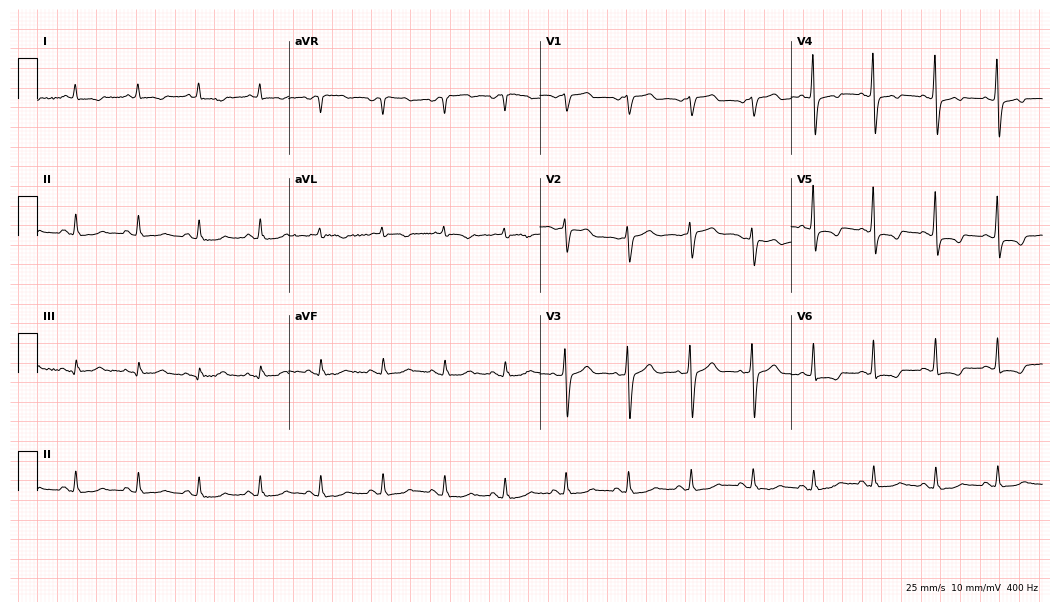
Resting 12-lead electrocardiogram (10.2-second recording at 400 Hz). Patient: an 82-year-old female. None of these six findings is recorded: first-degree AV block, right bundle branch block (RBBB), left bundle branch block (LBBB), sinus bradycardia, atrial fibrillation (AF), sinus tachycardia.